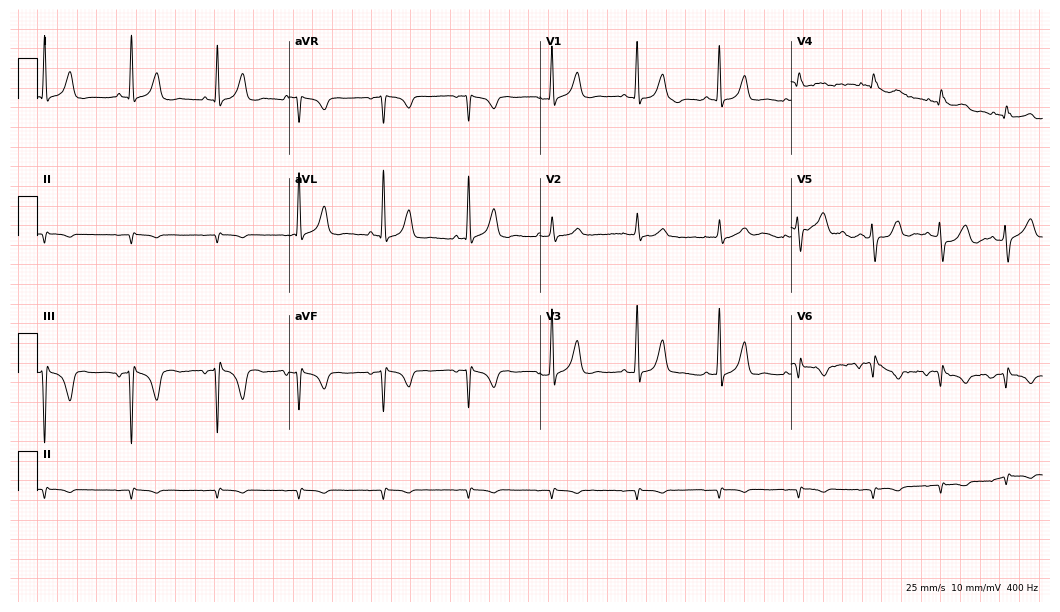
Electrocardiogram, a 23-year-old woman. Of the six screened findings (first-degree AV block, right bundle branch block, left bundle branch block, sinus bradycardia, atrial fibrillation, sinus tachycardia), none is recorded.